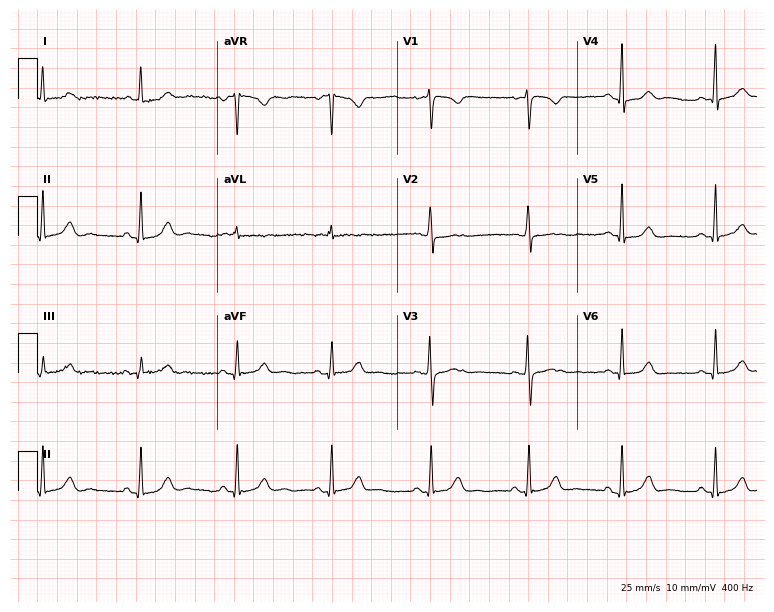
Electrocardiogram, a 26-year-old female. Of the six screened findings (first-degree AV block, right bundle branch block (RBBB), left bundle branch block (LBBB), sinus bradycardia, atrial fibrillation (AF), sinus tachycardia), none is recorded. Findings outside these six are not listed.